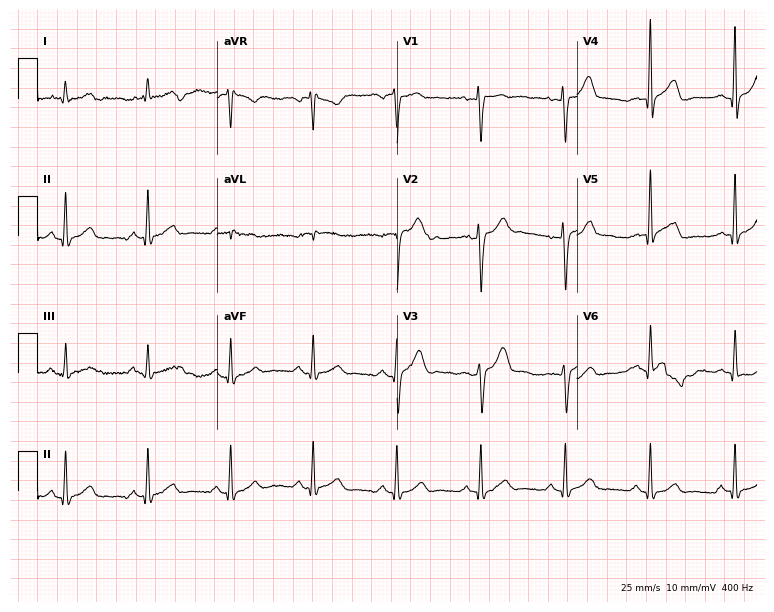
12-lead ECG from a male, 35 years old (7.3-second recording at 400 Hz). No first-degree AV block, right bundle branch block, left bundle branch block, sinus bradycardia, atrial fibrillation or sinus tachycardia recorded for this tracing. Findings outside these six are not listed.